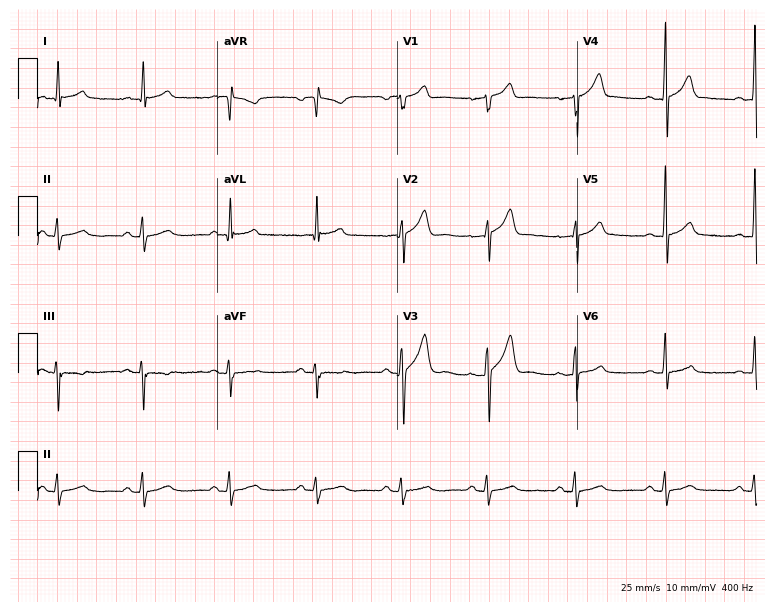
Electrocardiogram (7.3-second recording at 400 Hz), a 53-year-old male. Overall reading on record: normal ECG.